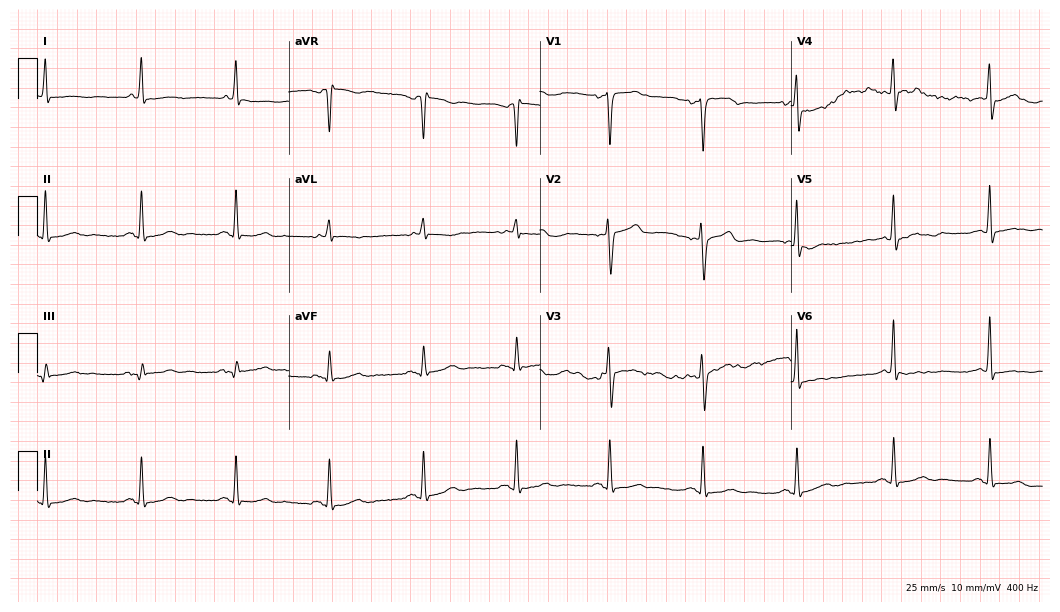
Resting 12-lead electrocardiogram. Patient: a male, 75 years old. Read as a normal ECG.